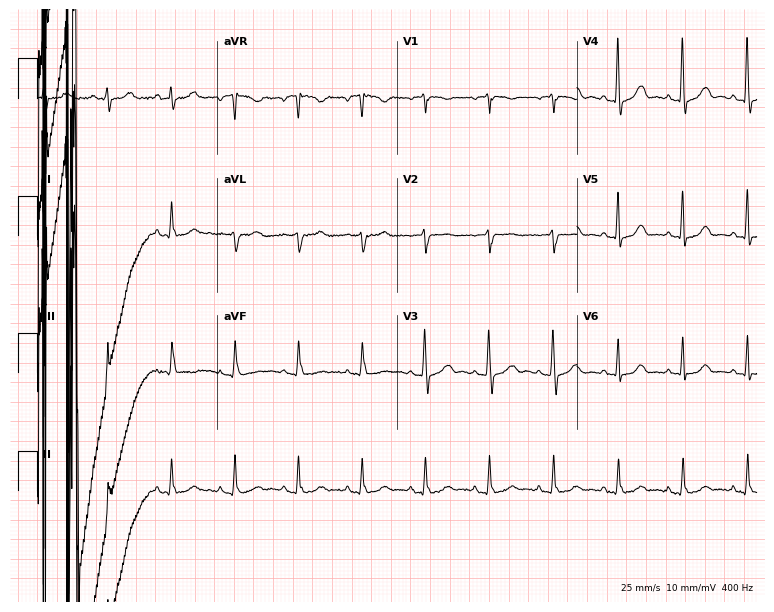
12-lead ECG from a 72-year-old woman (7.3-second recording at 400 Hz). No first-degree AV block, right bundle branch block, left bundle branch block, sinus bradycardia, atrial fibrillation or sinus tachycardia recorded for this tracing.